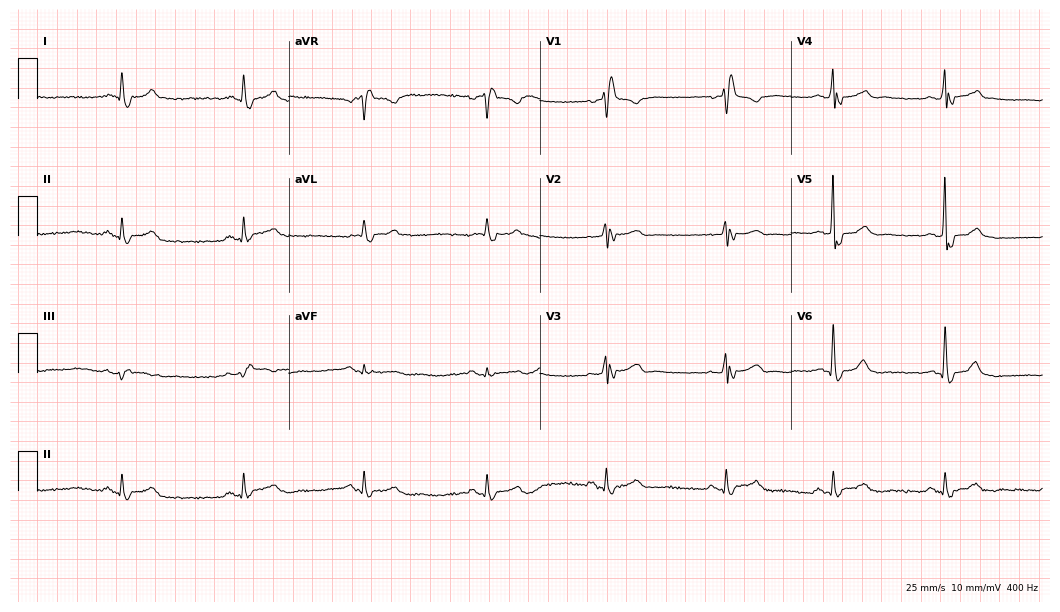
12-lead ECG from a male, 53 years old (10.2-second recording at 400 Hz). Shows right bundle branch block (RBBB).